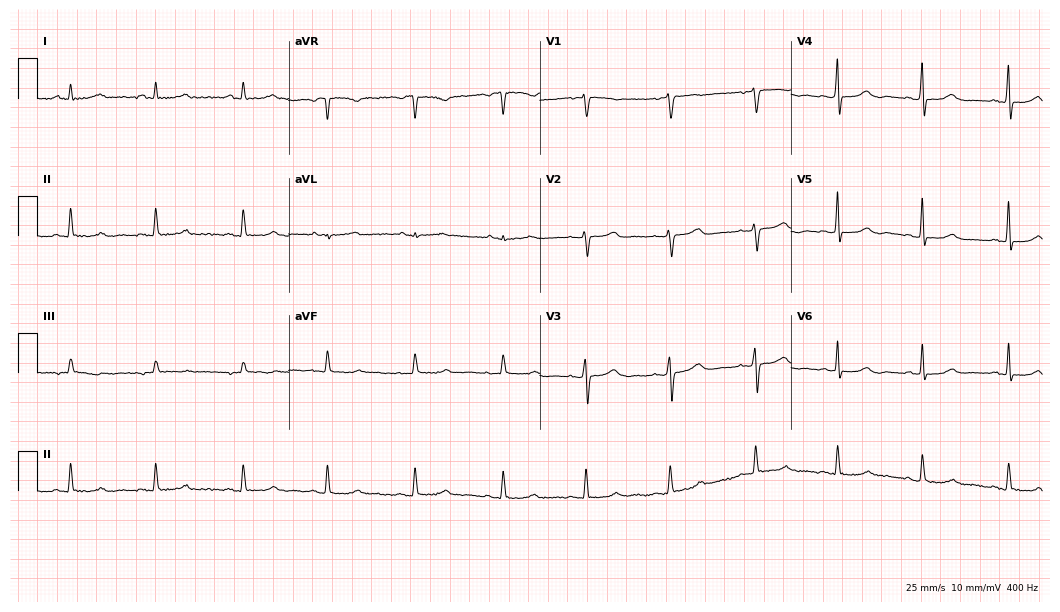
Electrocardiogram, a female patient, 50 years old. Of the six screened findings (first-degree AV block, right bundle branch block, left bundle branch block, sinus bradycardia, atrial fibrillation, sinus tachycardia), none is recorded. Only these six findings were labelled.